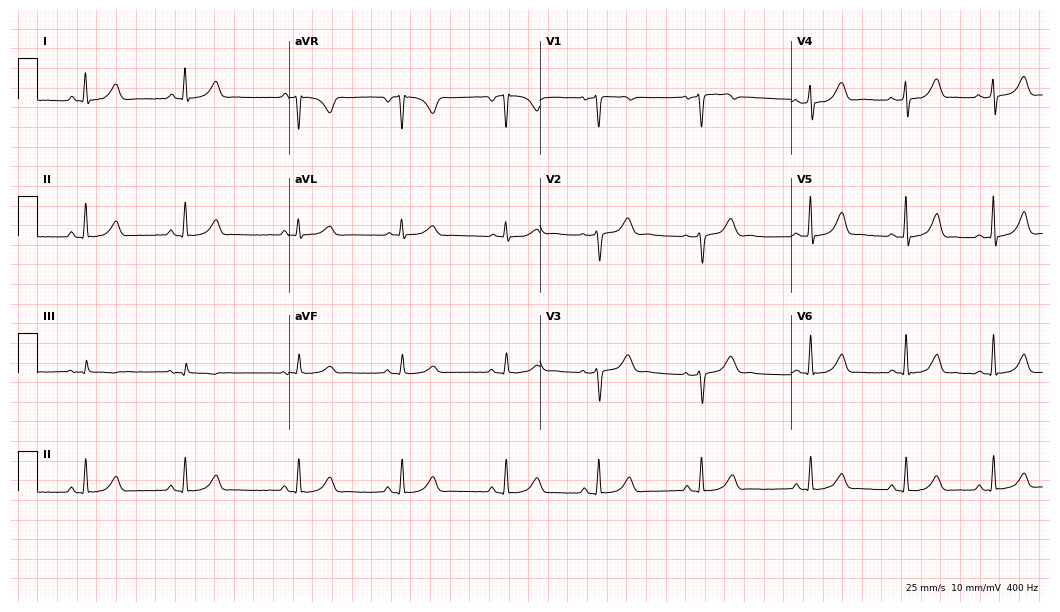
12-lead ECG from a 37-year-old female patient. Labelled as a normal ECG.